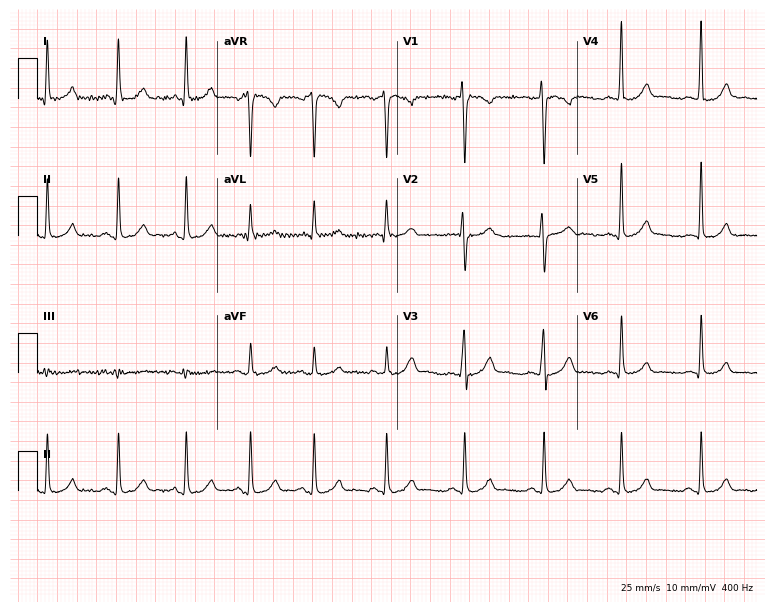
ECG (7.3-second recording at 400 Hz) — a woman, 33 years old. Labelled as a normal ECG.